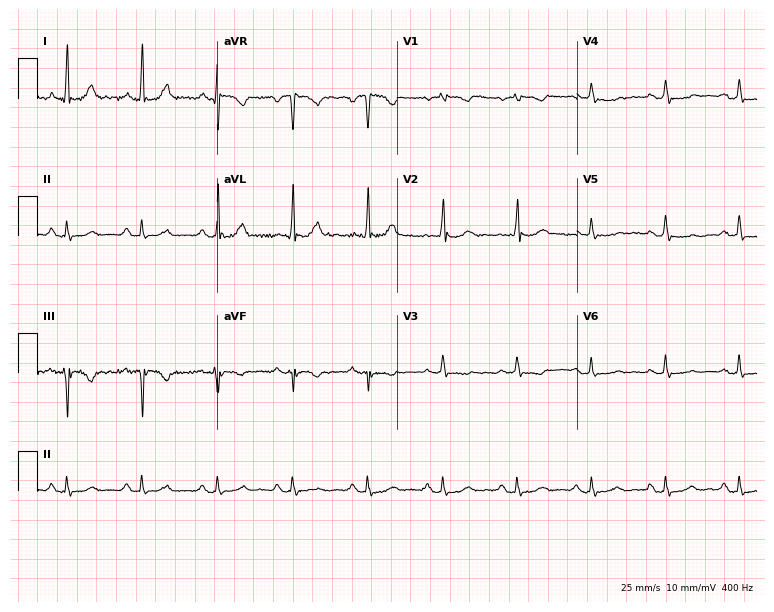
Standard 12-lead ECG recorded from a 60-year-old female patient. None of these six findings is recorded: first-degree AV block, right bundle branch block, left bundle branch block, sinus bradycardia, atrial fibrillation, sinus tachycardia.